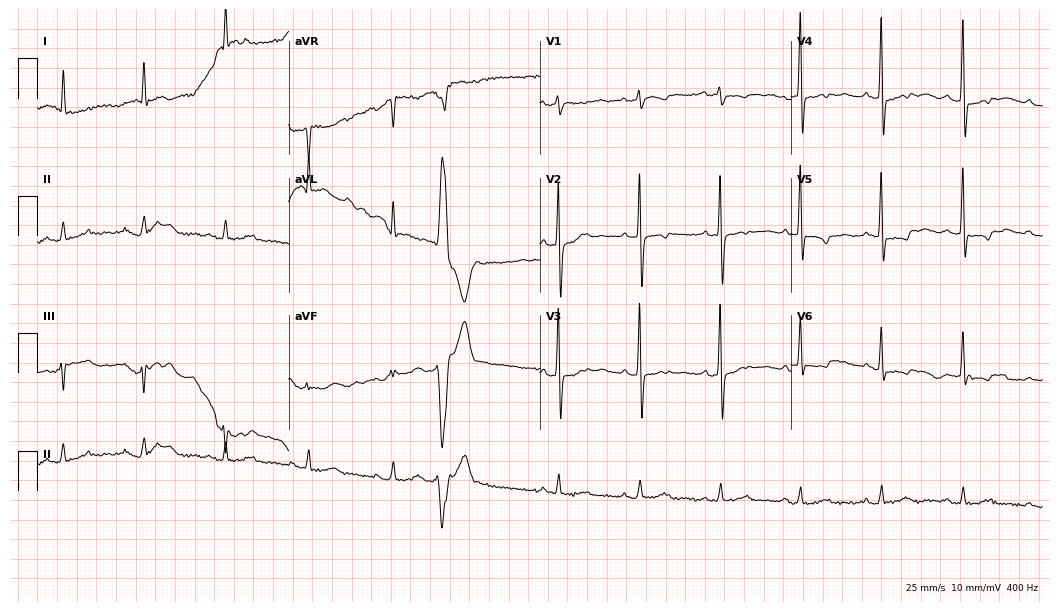
12-lead ECG from a 79-year-old male patient. Screened for six findings — first-degree AV block, right bundle branch block, left bundle branch block, sinus bradycardia, atrial fibrillation, sinus tachycardia — none is recorded. Only these six findings were labelled.